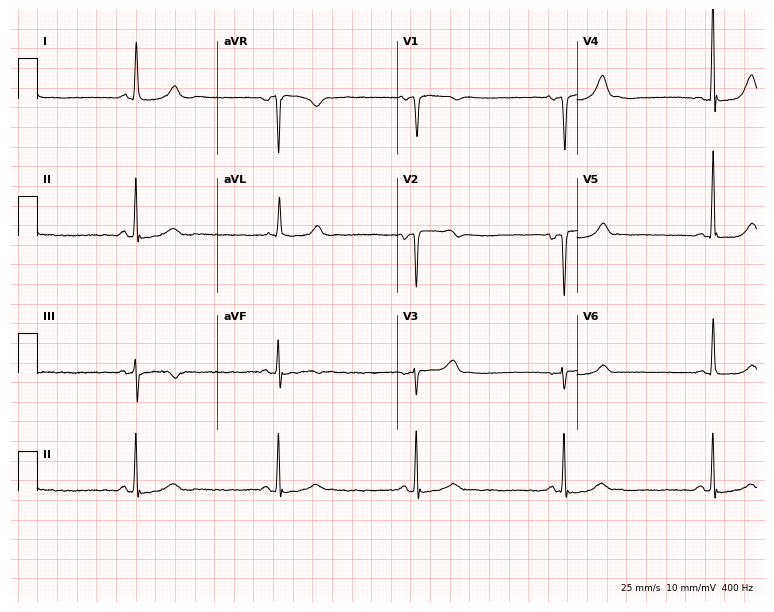
Standard 12-lead ECG recorded from a man, 77 years old. The tracing shows sinus bradycardia (a sinus rate of 50 beats per minute or less).